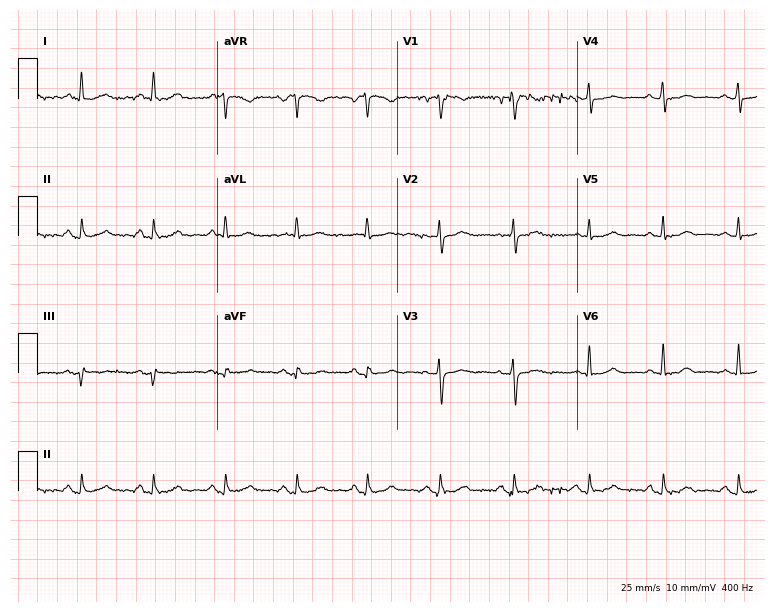
Standard 12-lead ECG recorded from a 54-year-old female patient. None of these six findings is recorded: first-degree AV block, right bundle branch block, left bundle branch block, sinus bradycardia, atrial fibrillation, sinus tachycardia. Findings outside these six are not listed.